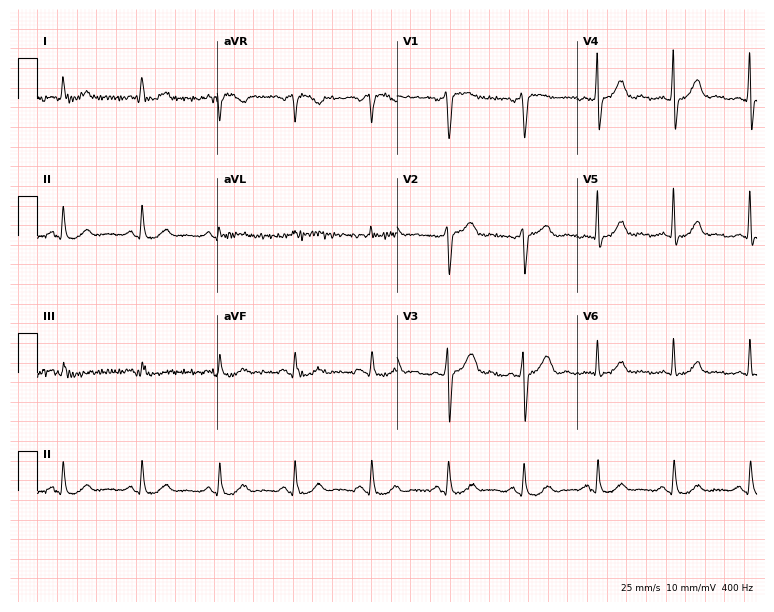
ECG (7.3-second recording at 400 Hz) — a 62-year-old male patient. Labelled as a normal ECG.